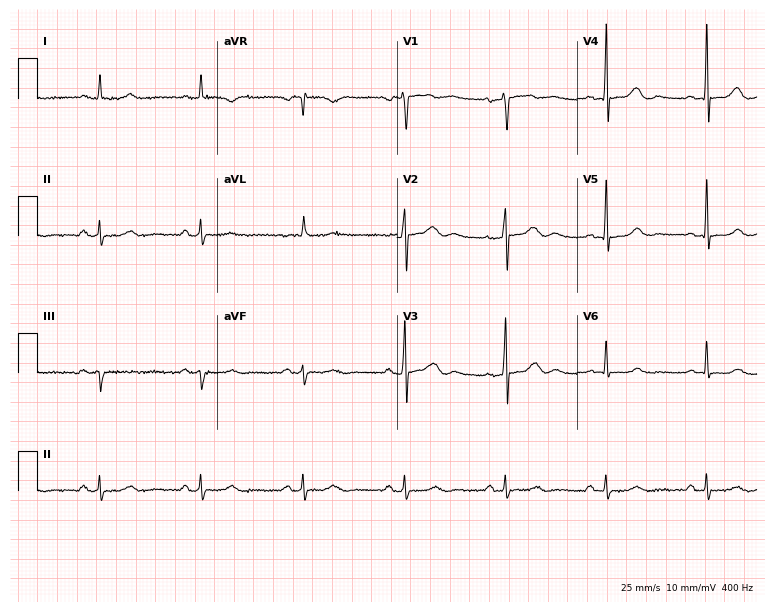
ECG — a 69-year-old male. Screened for six findings — first-degree AV block, right bundle branch block, left bundle branch block, sinus bradycardia, atrial fibrillation, sinus tachycardia — none is recorded.